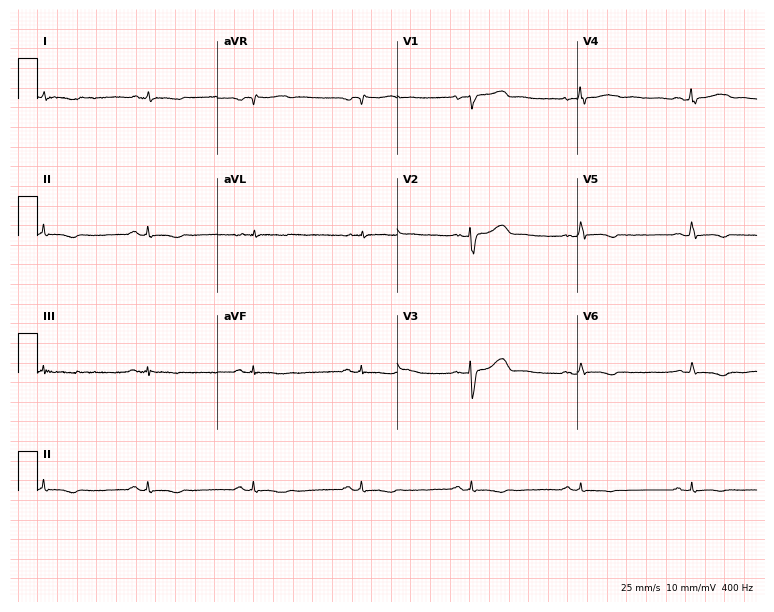
Standard 12-lead ECG recorded from a 52-year-old male patient. None of these six findings is recorded: first-degree AV block, right bundle branch block (RBBB), left bundle branch block (LBBB), sinus bradycardia, atrial fibrillation (AF), sinus tachycardia. Findings outside these six are not listed.